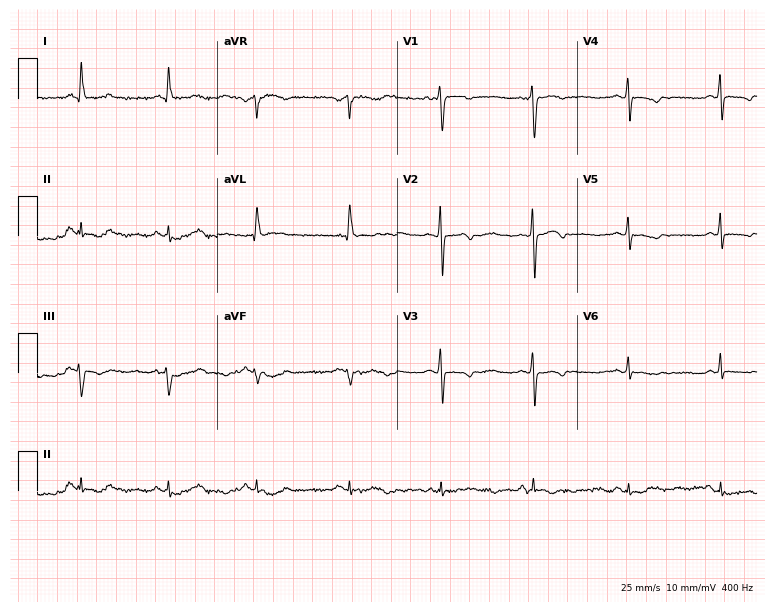
ECG — a 51-year-old female. Screened for six findings — first-degree AV block, right bundle branch block, left bundle branch block, sinus bradycardia, atrial fibrillation, sinus tachycardia — none is recorded. Other findings, if any, are not listed.